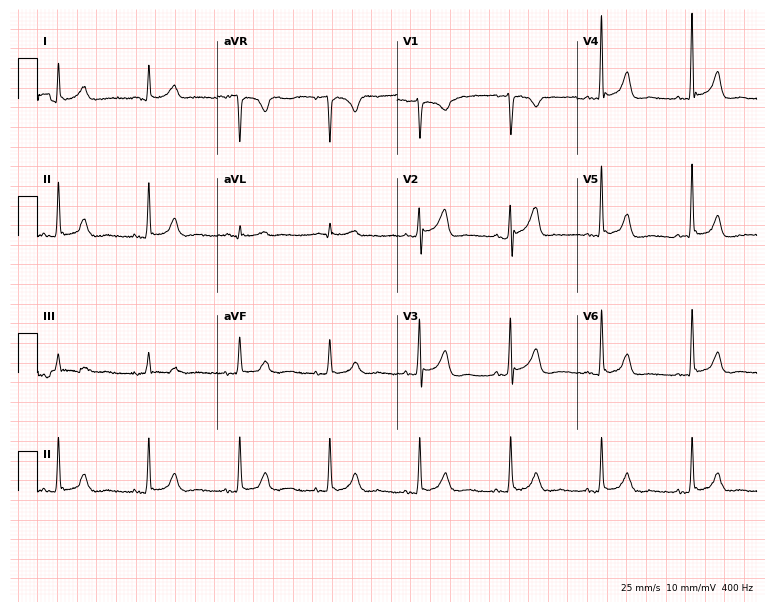
12-lead ECG (7.3-second recording at 400 Hz) from a male, 80 years old. Labelled as a normal ECG.